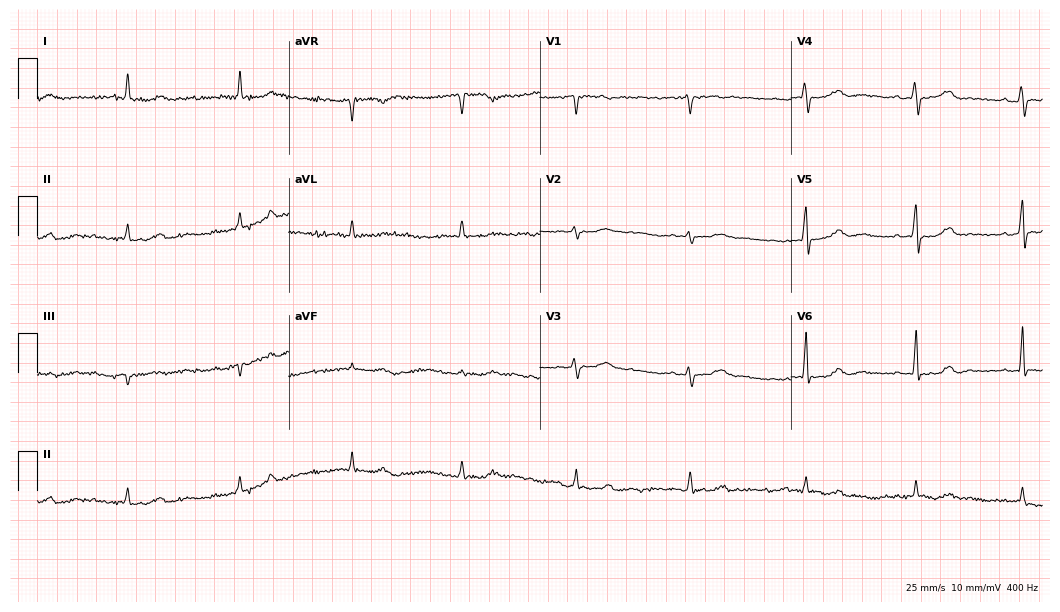
Electrocardiogram, a 66-year-old woman. Interpretation includes sinus bradycardia (a sinus rate of 50 beats per minute or less).